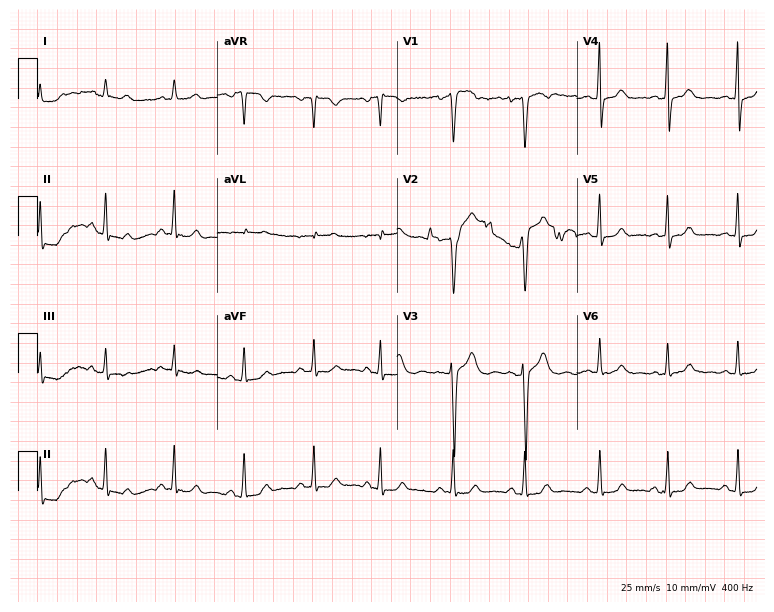
ECG — a 39-year-old woman. Screened for six findings — first-degree AV block, right bundle branch block, left bundle branch block, sinus bradycardia, atrial fibrillation, sinus tachycardia — none is recorded. Only these six findings were labelled.